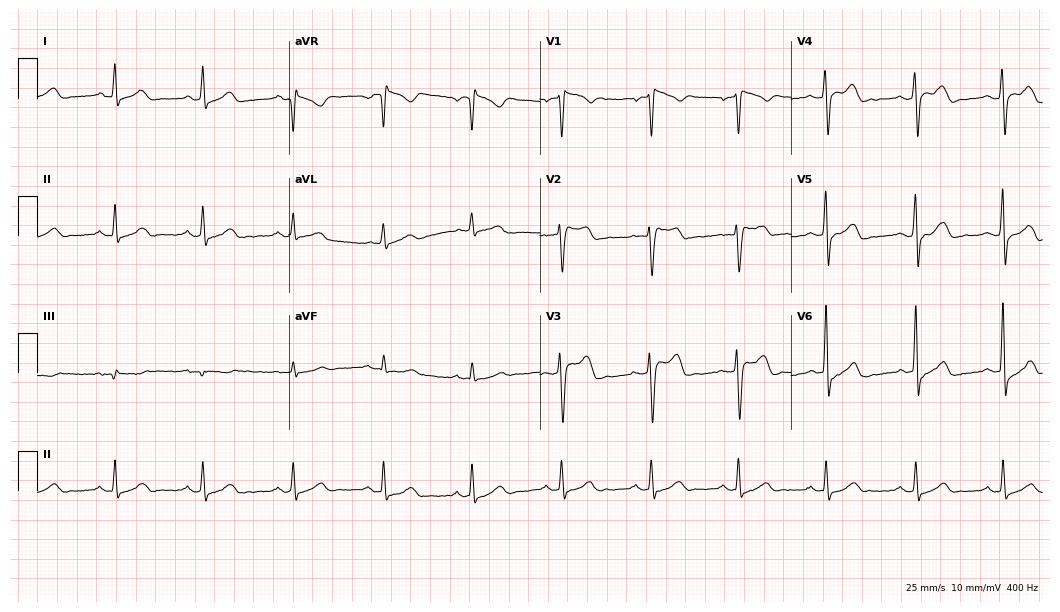
12-lead ECG from a 52-year-old male patient. Recorded interpretation: within normal limits.